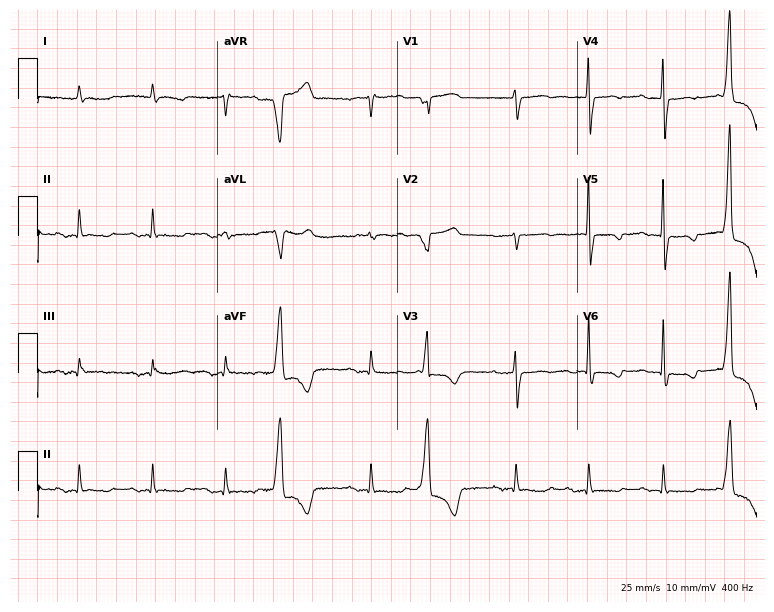
Standard 12-lead ECG recorded from a female patient, 80 years old (7.3-second recording at 400 Hz). None of these six findings is recorded: first-degree AV block, right bundle branch block, left bundle branch block, sinus bradycardia, atrial fibrillation, sinus tachycardia. Findings outside these six are not listed.